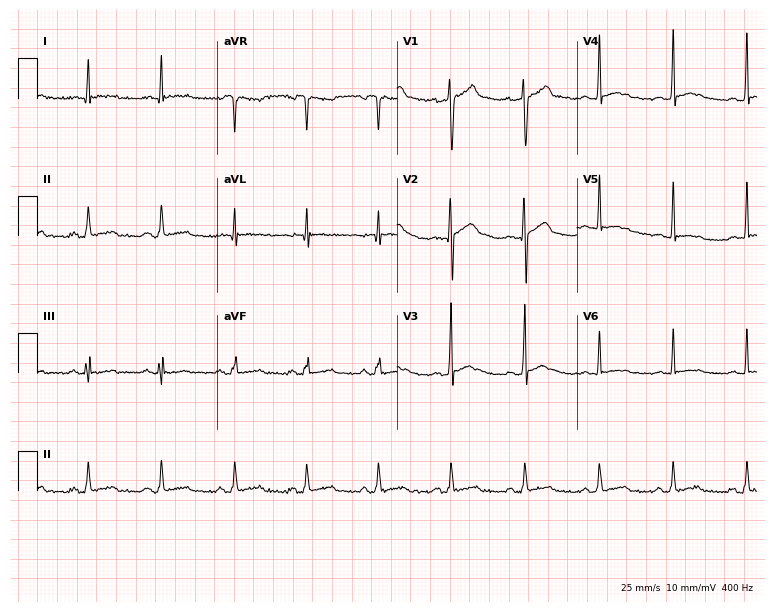
Resting 12-lead electrocardiogram (7.3-second recording at 400 Hz). Patient: a male, 28 years old. None of these six findings is recorded: first-degree AV block, right bundle branch block, left bundle branch block, sinus bradycardia, atrial fibrillation, sinus tachycardia.